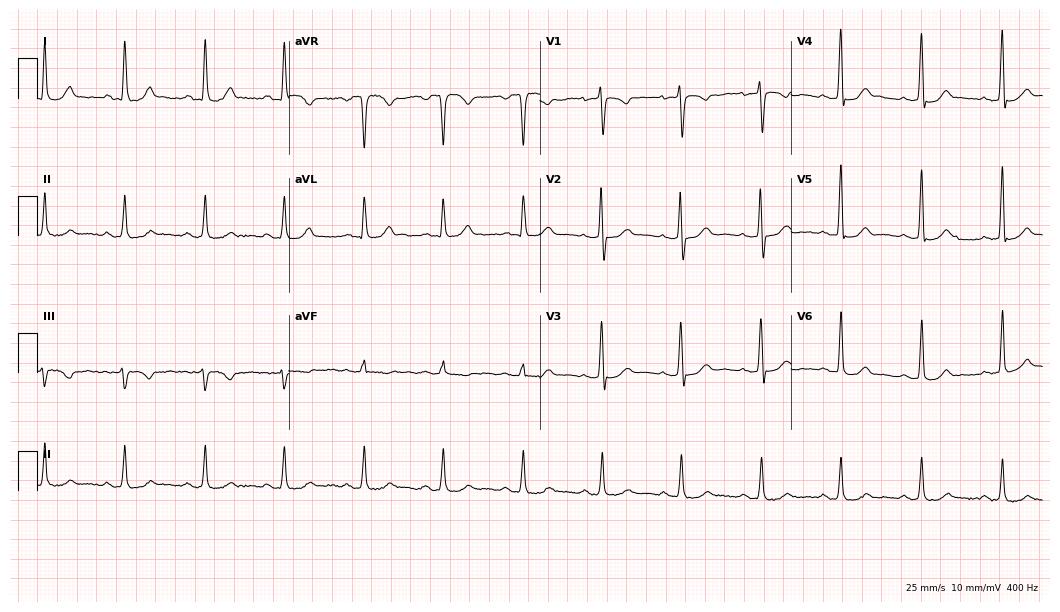
12-lead ECG from a 41-year-old male patient. No first-degree AV block, right bundle branch block, left bundle branch block, sinus bradycardia, atrial fibrillation or sinus tachycardia recorded for this tracing.